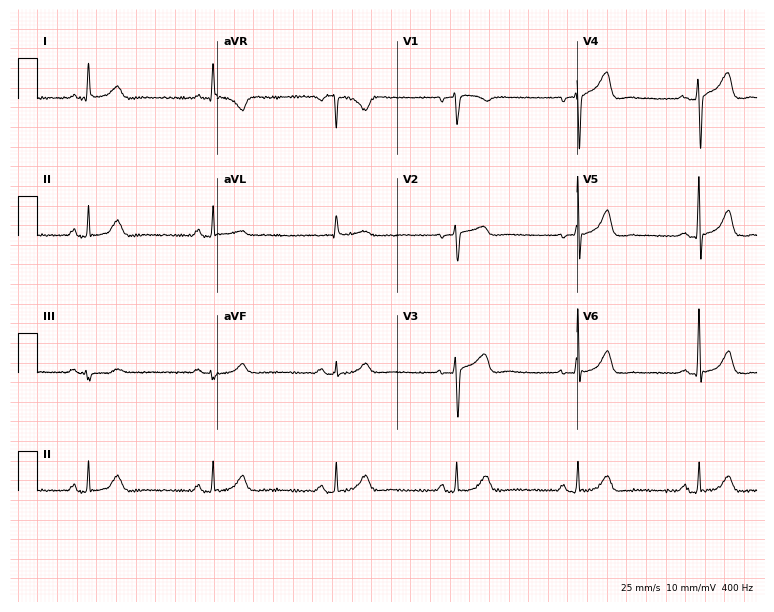
Resting 12-lead electrocardiogram. Patient: a 67-year-old female. Read as a normal ECG.